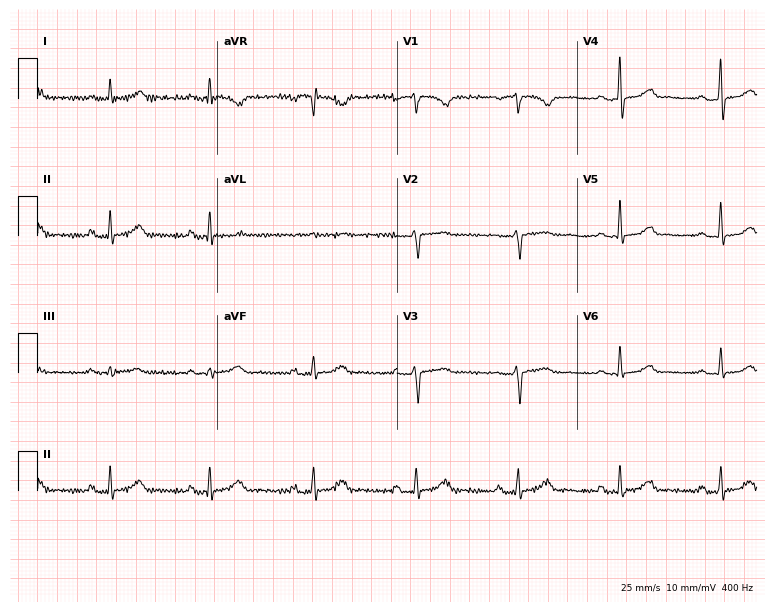
Resting 12-lead electrocardiogram. Patient: a 58-year-old female. Read as a normal ECG.